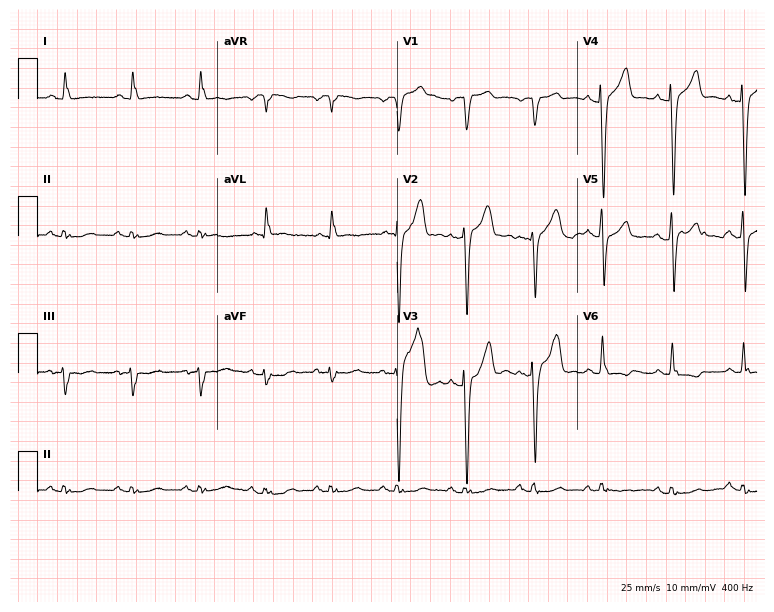
Electrocardiogram (7.3-second recording at 400 Hz), a 64-year-old male. Of the six screened findings (first-degree AV block, right bundle branch block, left bundle branch block, sinus bradycardia, atrial fibrillation, sinus tachycardia), none is recorded. Other findings, if any, are not listed.